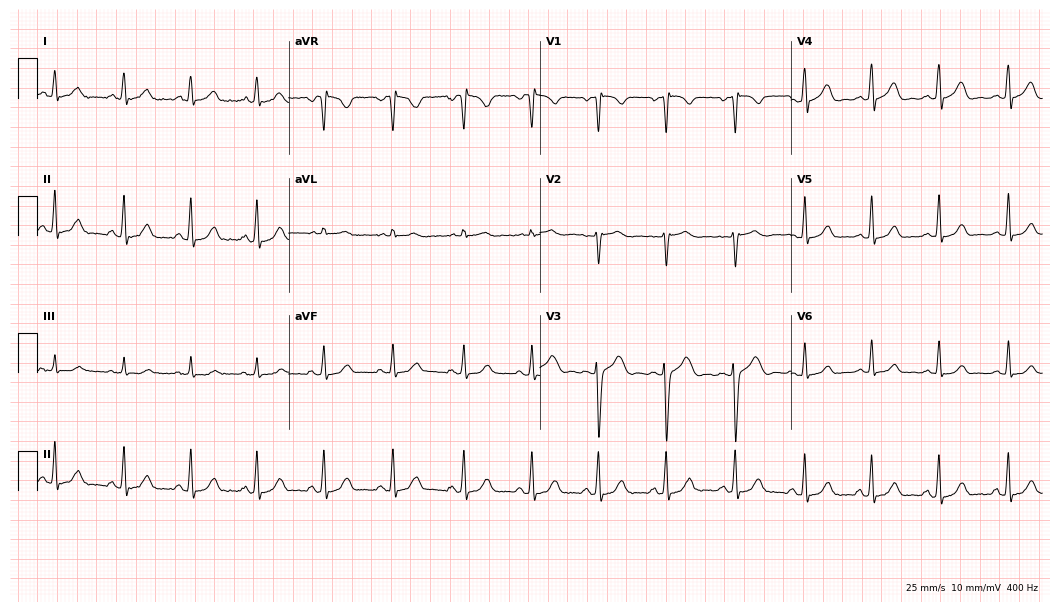
Electrocardiogram, a female, 29 years old. Overall reading on record: normal ECG.